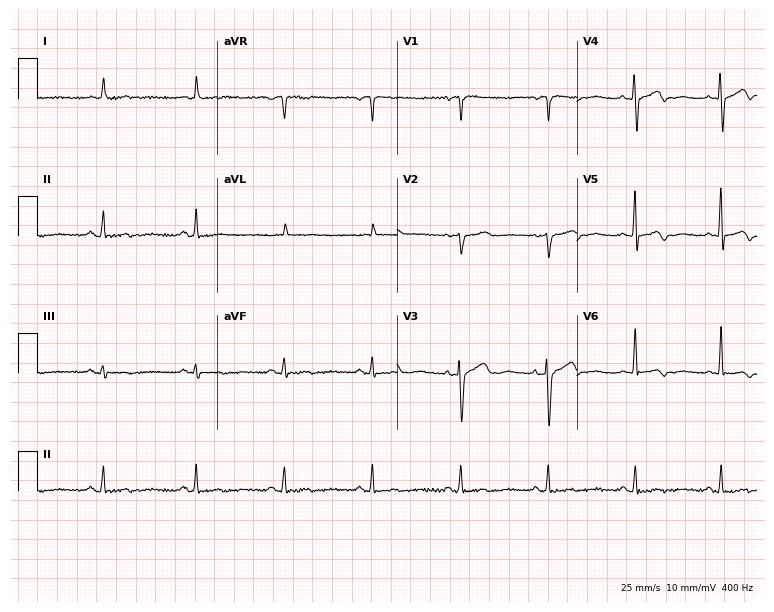
12-lead ECG from a female patient, 78 years old. No first-degree AV block, right bundle branch block, left bundle branch block, sinus bradycardia, atrial fibrillation or sinus tachycardia recorded for this tracing. Findings outside these six are not listed.